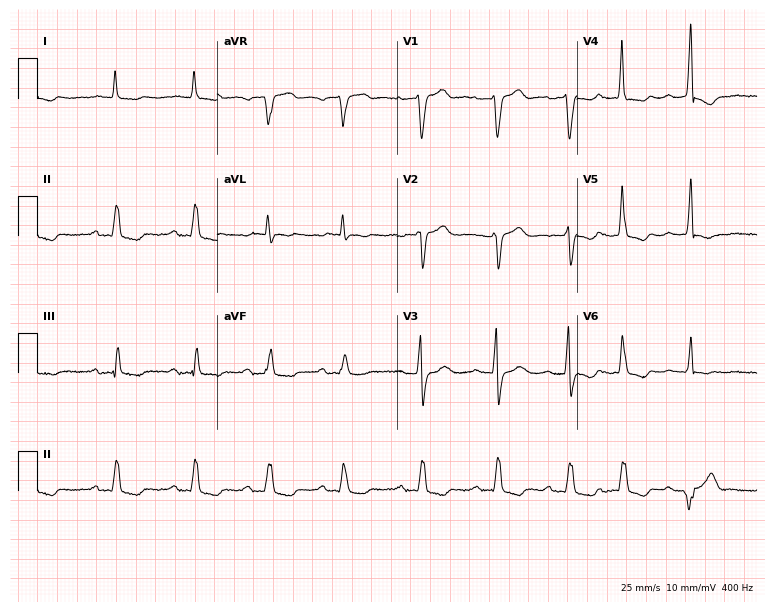
12-lead ECG from a male patient, 85 years old. Screened for six findings — first-degree AV block, right bundle branch block, left bundle branch block, sinus bradycardia, atrial fibrillation, sinus tachycardia — none is recorded.